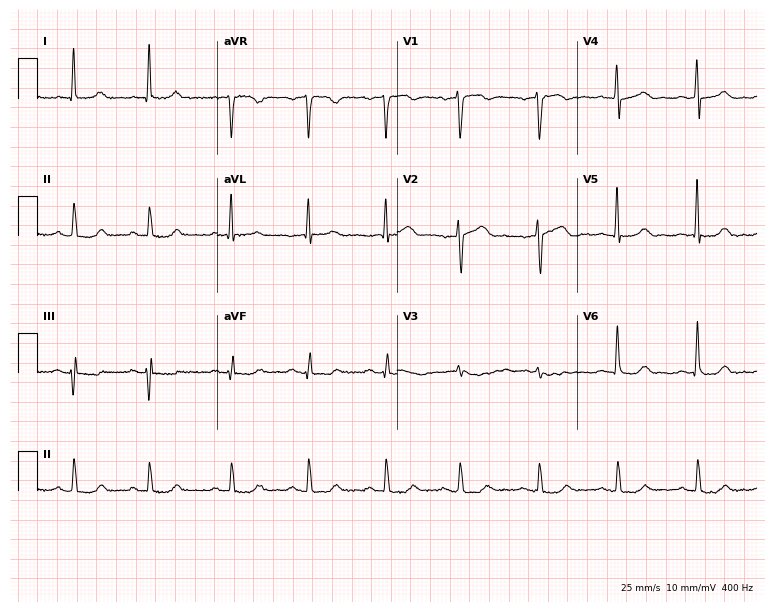
Resting 12-lead electrocardiogram. Patient: a 65-year-old man. Read as a normal ECG.